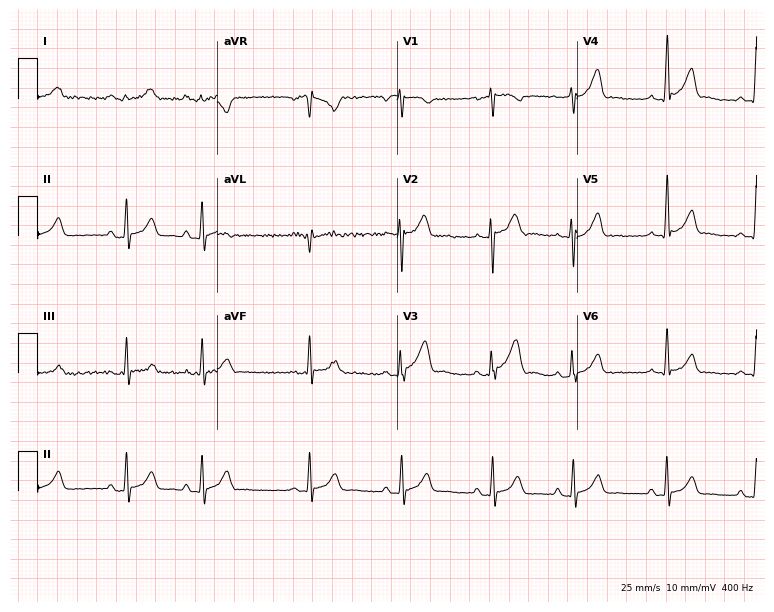
ECG — a male patient, 28 years old. Screened for six findings — first-degree AV block, right bundle branch block (RBBB), left bundle branch block (LBBB), sinus bradycardia, atrial fibrillation (AF), sinus tachycardia — none is recorded.